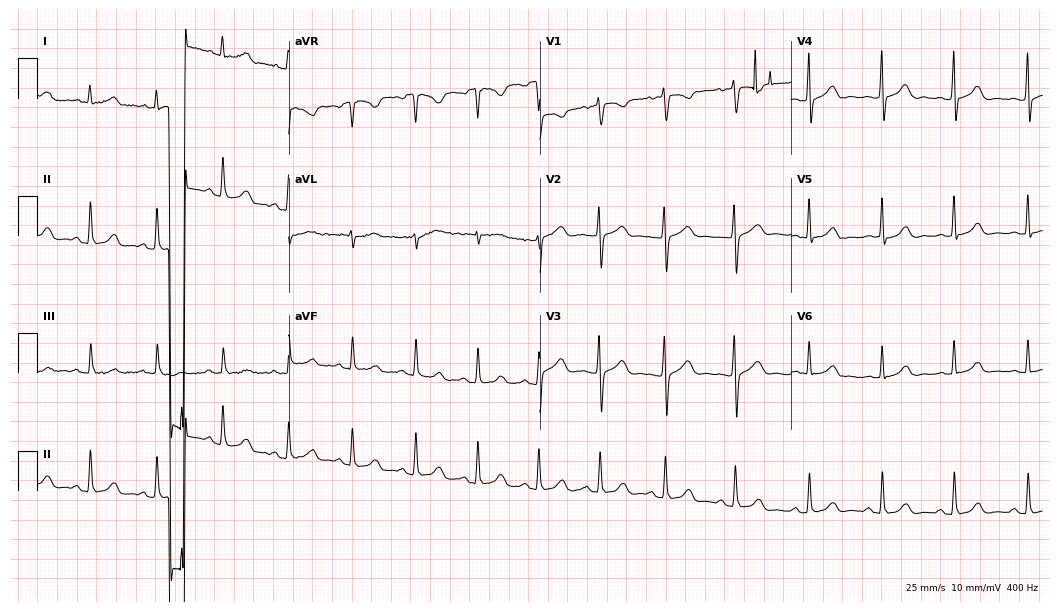
Resting 12-lead electrocardiogram (10.2-second recording at 400 Hz). Patient: a 45-year-old female. None of these six findings is recorded: first-degree AV block, right bundle branch block, left bundle branch block, sinus bradycardia, atrial fibrillation, sinus tachycardia. Only these six findings were labelled.